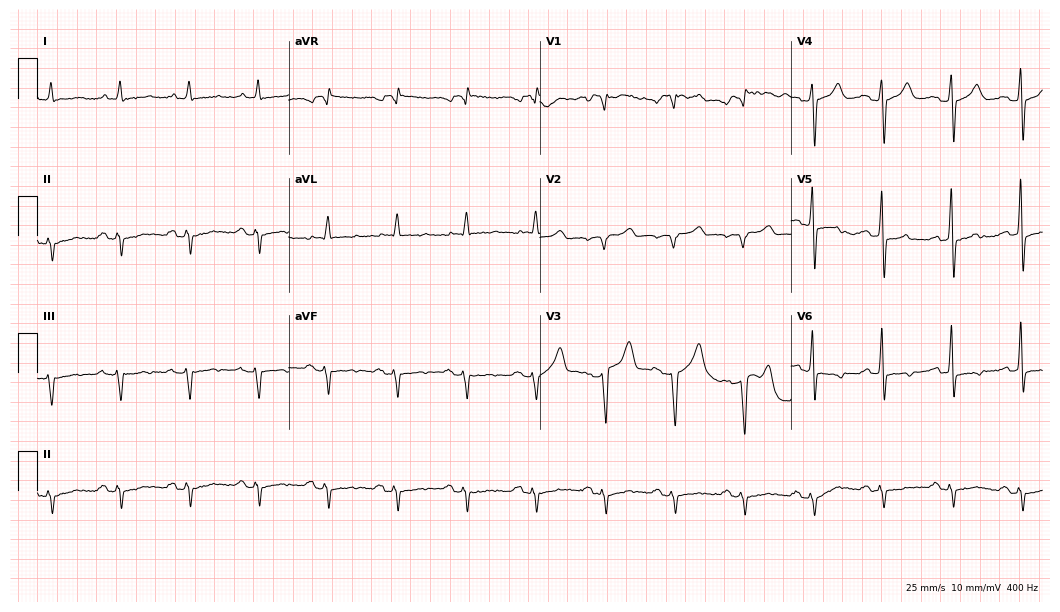
Electrocardiogram (10.2-second recording at 400 Hz), an 83-year-old male patient. Of the six screened findings (first-degree AV block, right bundle branch block, left bundle branch block, sinus bradycardia, atrial fibrillation, sinus tachycardia), none is recorded. Only these six findings were labelled.